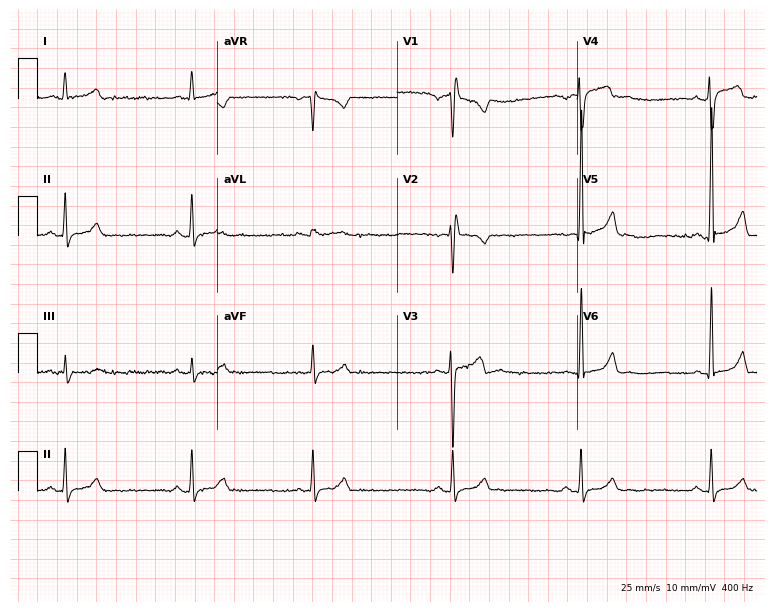
12-lead ECG from a 21-year-old male patient (7.3-second recording at 400 Hz). No first-degree AV block, right bundle branch block, left bundle branch block, sinus bradycardia, atrial fibrillation or sinus tachycardia recorded for this tracing. Findings outside these six are not listed.